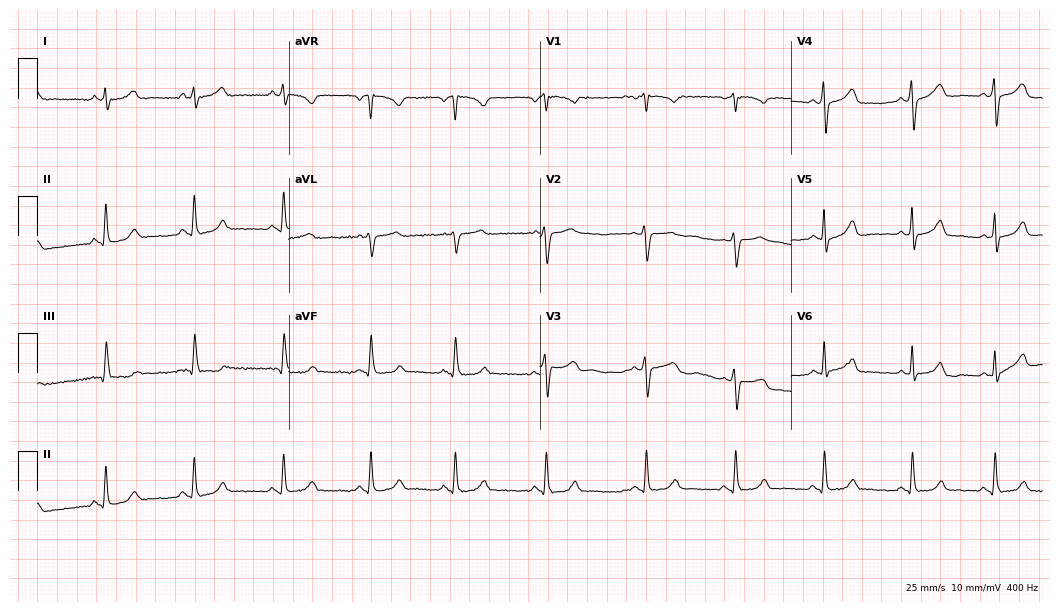
Electrocardiogram (10.2-second recording at 400 Hz), a woman, 44 years old. Overall reading on record: normal ECG.